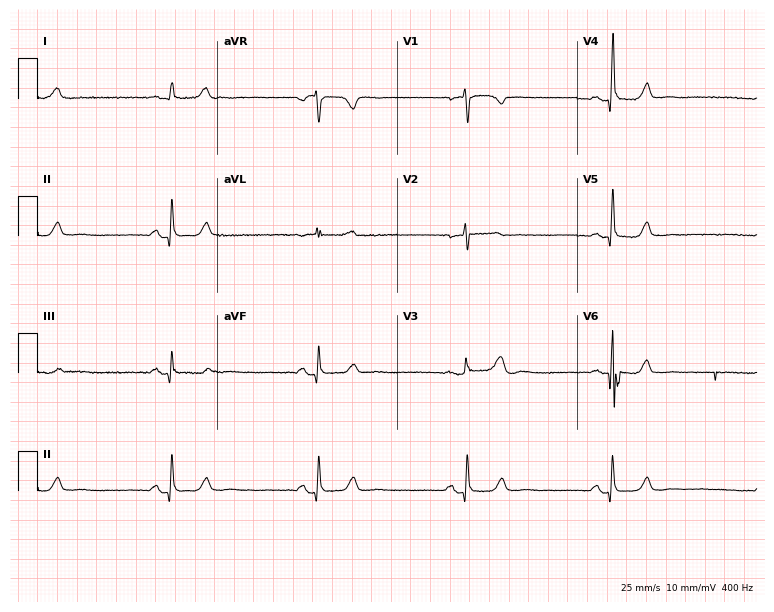
Electrocardiogram (7.3-second recording at 400 Hz), a 60-year-old woman. Interpretation includes sinus bradycardia (a sinus rate of 50 beats per minute or less).